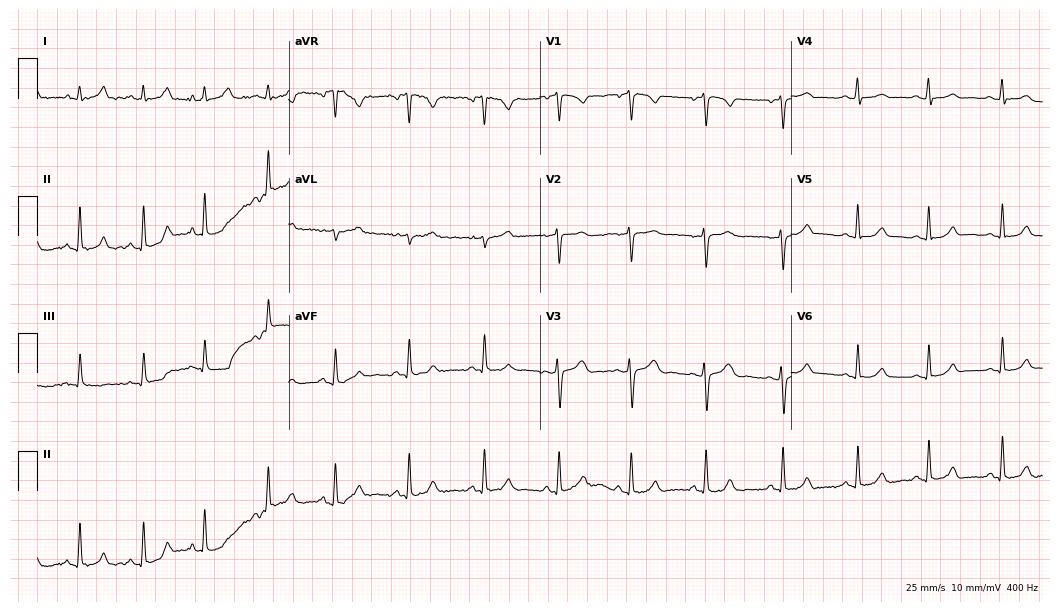
ECG (10.2-second recording at 400 Hz) — a 32-year-old female. Labelled as a normal ECG.